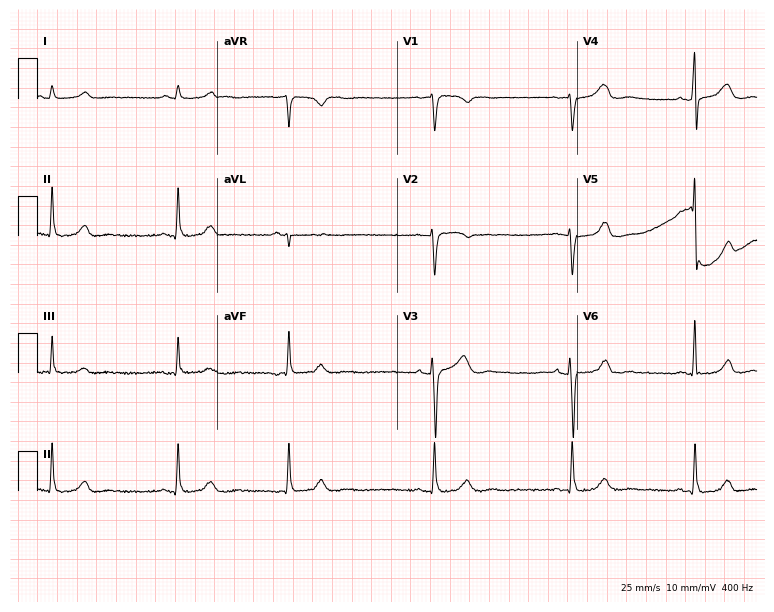
Resting 12-lead electrocardiogram (7.3-second recording at 400 Hz). Patient: a female, 43 years old. The tracing shows sinus bradycardia (a sinus rate of 50 beats per minute or less).